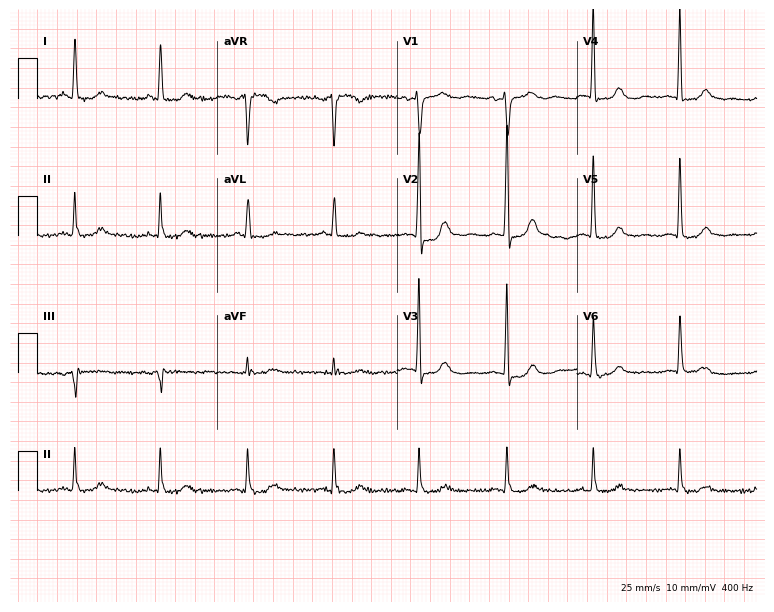
Electrocardiogram (7.3-second recording at 400 Hz), an 85-year-old female. Of the six screened findings (first-degree AV block, right bundle branch block, left bundle branch block, sinus bradycardia, atrial fibrillation, sinus tachycardia), none is recorded. Findings outside these six are not listed.